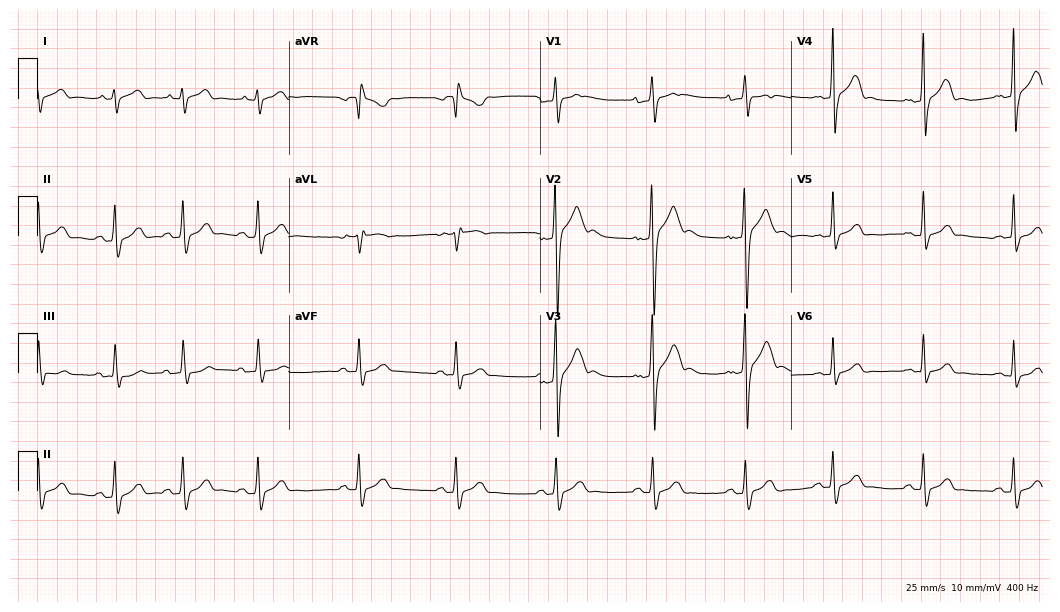
Standard 12-lead ECG recorded from a man, 24 years old (10.2-second recording at 400 Hz). None of these six findings is recorded: first-degree AV block, right bundle branch block, left bundle branch block, sinus bradycardia, atrial fibrillation, sinus tachycardia.